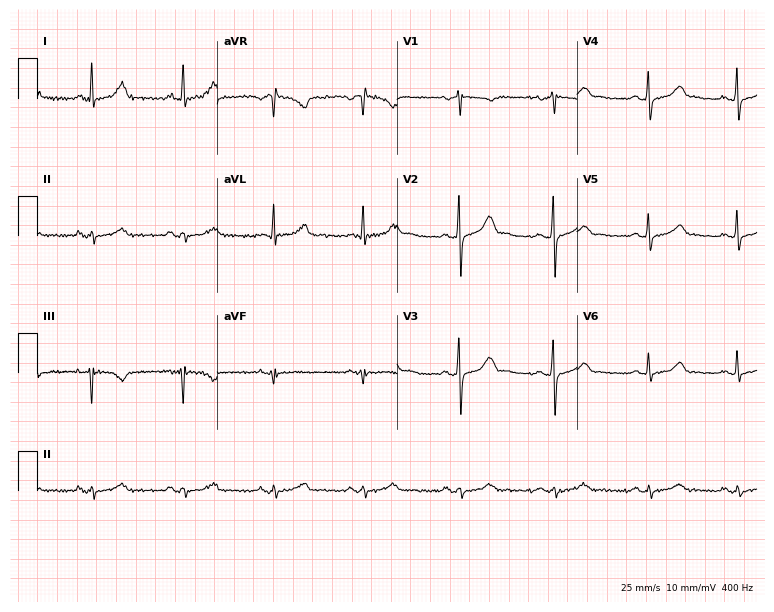
12-lead ECG from a male patient, 47 years old. Recorded interpretation: within normal limits.